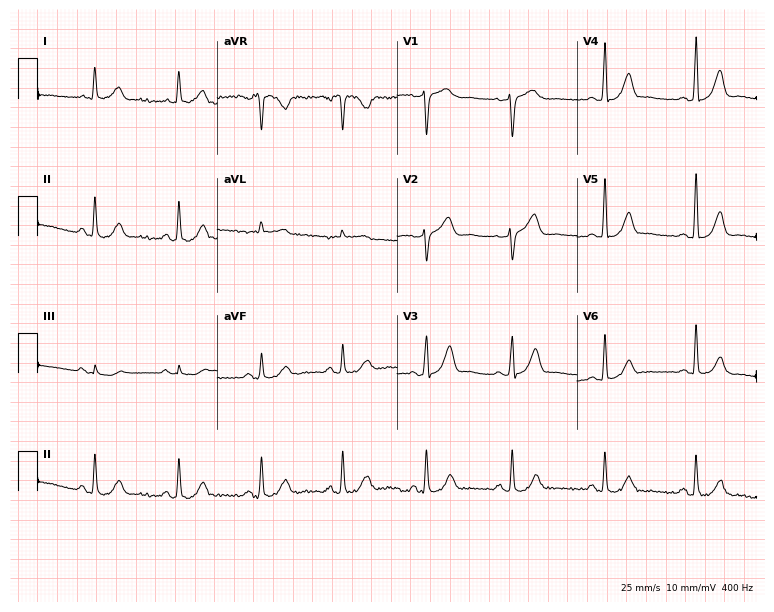
Resting 12-lead electrocardiogram (7.3-second recording at 400 Hz). Patient: a 58-year-old female. None of these six findings is recorded: first-degree AV block, right bundle branch block, left bundle branch block, sinus bradycardia, atrial fibrillation, sinus tachycardia.